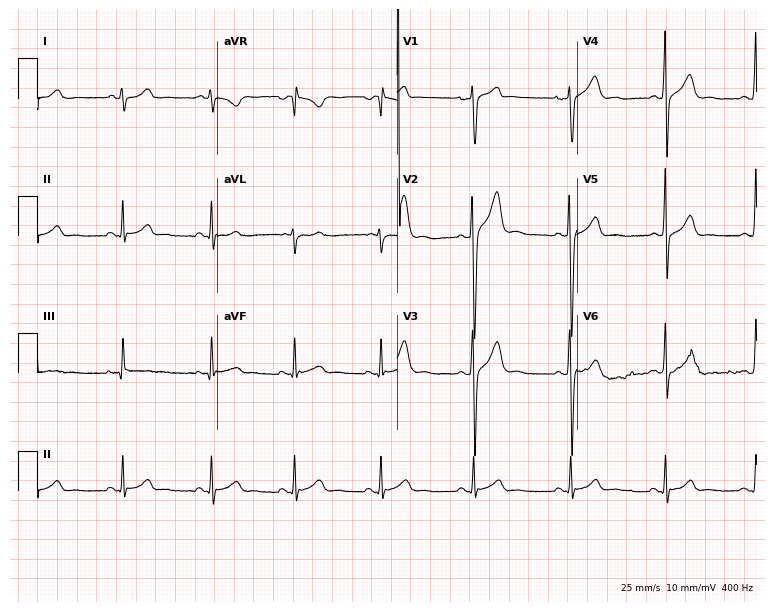
12-lead ECG from a man, 28 years old. Recorded interpretation: within normal limits.